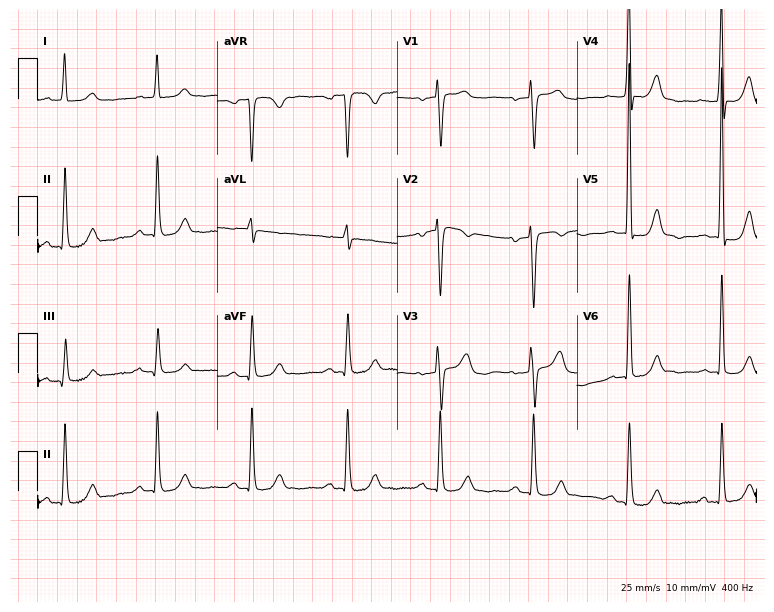
ECG — an 80-year-old female. Screened for six findings — first-degree AV block, right bundle branch block, left bundle branch block, sinus bradycardia, atrial fibrillation, sinus tachycardia — none is recorded.